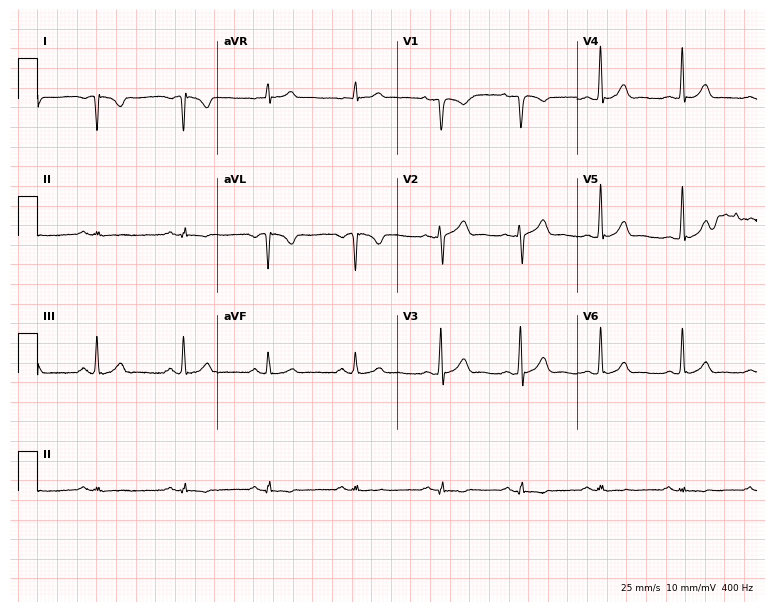
Electrocardiogram, a 32-year-old male patient. Of the six screened findings (first-degree AV block, right bundle branch block, left bundle branch block, sinus bradycardia, atrial fibrillation, sinus tachycardia), none is recorded. Other findings, if any, are not listed.